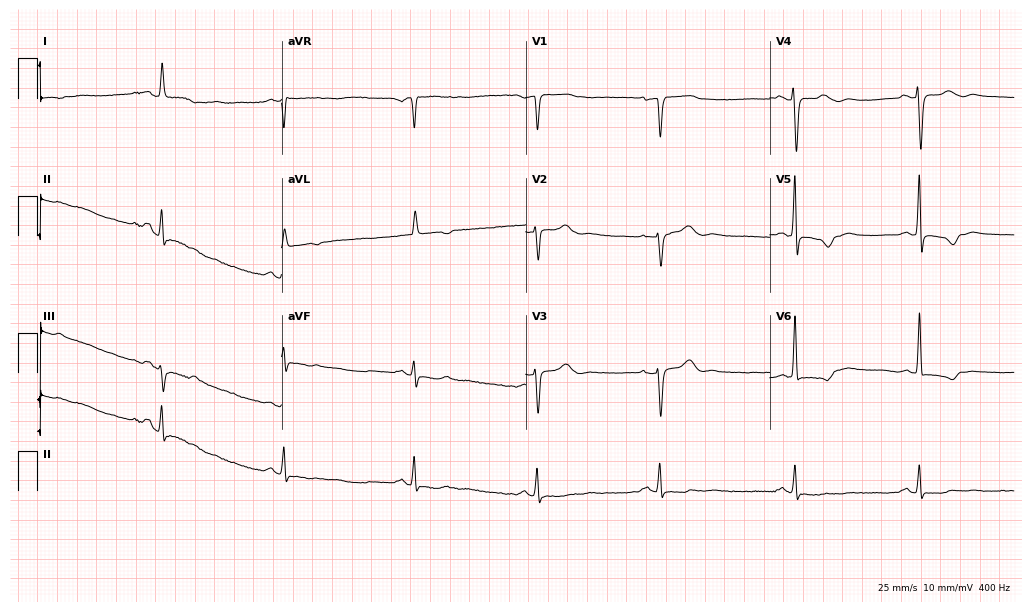
Standard 12-lead ECG recorded from a 76-year-old female. The tracing shows right bundle branch block (RBBB), sinus bradycardia (a sinus rate of 50 beats per minute or less).